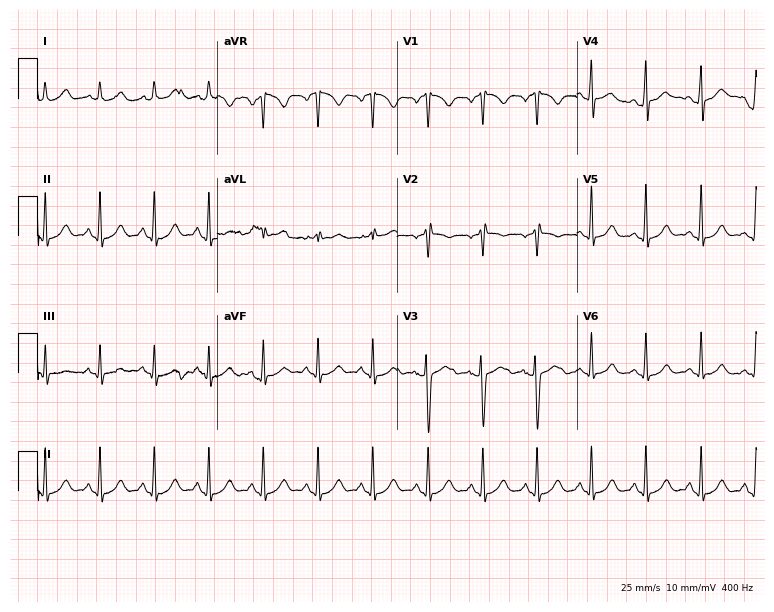
12-lead ECG from a female patient, 35 years old. Screened for six findings — first-degree AV block, right bundle branch block, left bundle branch block, sinus bradycardia, atrial fibrillation, sinus tachycardia — none is recorded. Other findings, if any, are not listed.